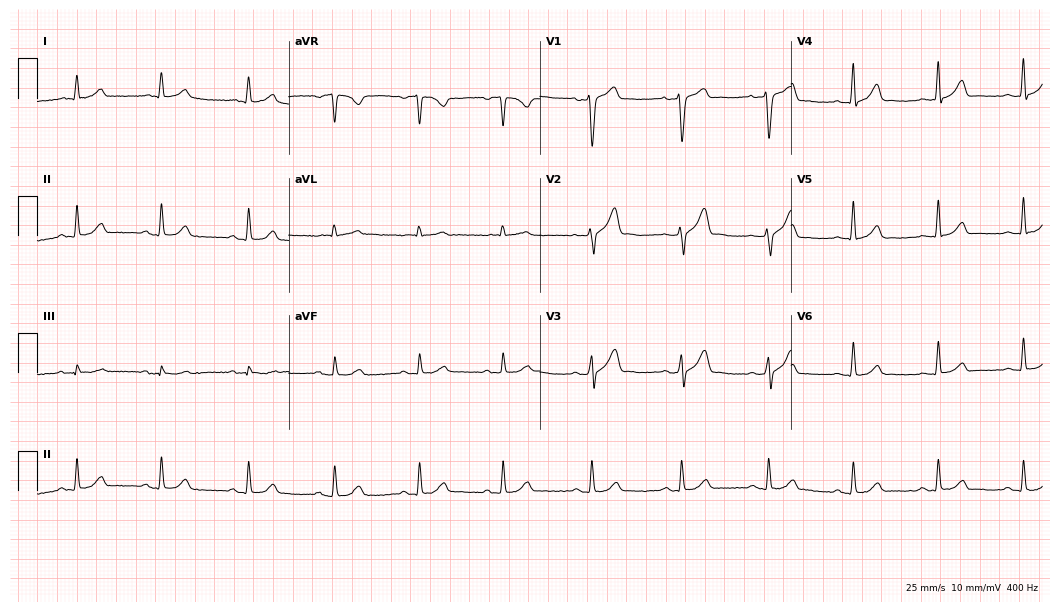
12-lead ECG from a male patient, 47 years old (10.2-second recording at 400 Hz). Recorded interpretation: within normal limits.